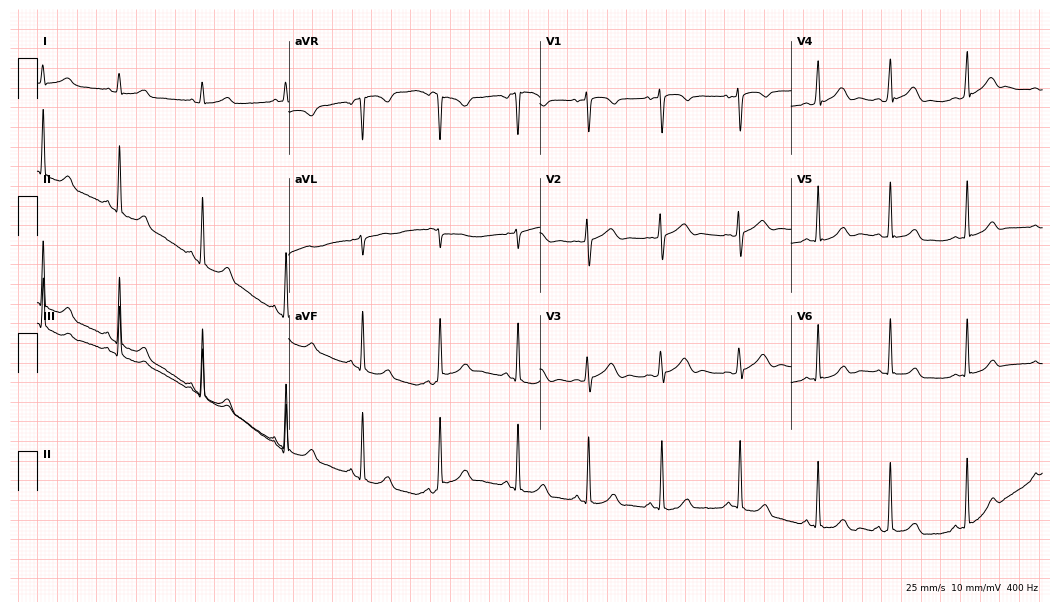
Electrocardiogram (10.2-second recording at 400 Hz), a 17-year-old female. Overall reading on record: normal ECG.